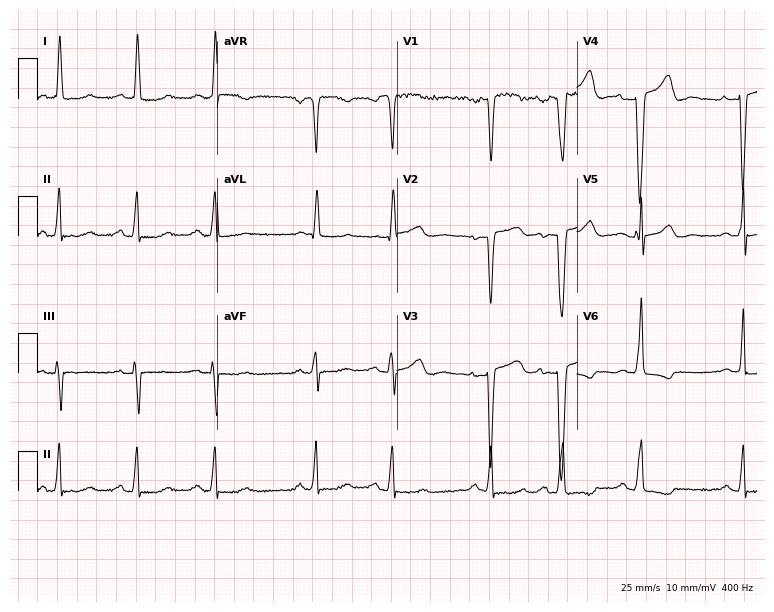
Resting 12-lead electrocardiogram. Patient: a woman, 43 years old. None of these six findings is recorded: first-degree AV block, right bundle branch block, left bundle branch block, sinus bradycardia, atrial fibrillation, sinus tachycardia.